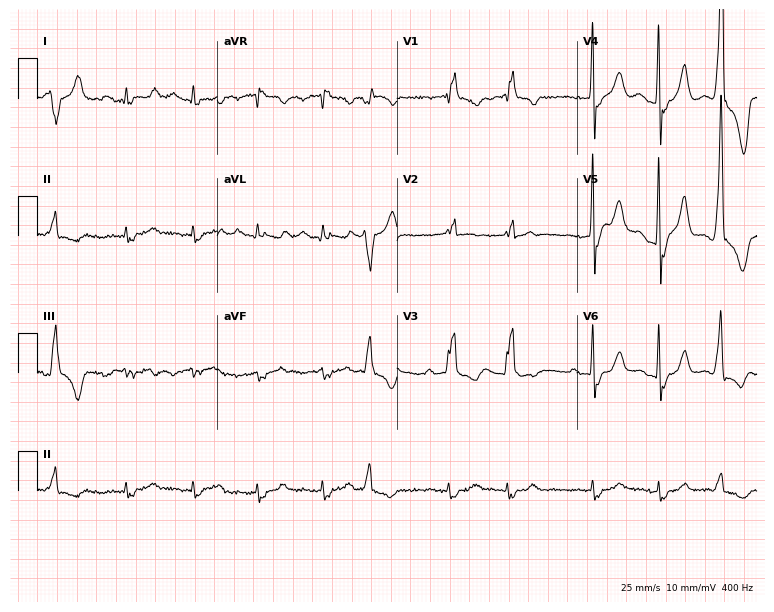
Electrocardiogram, a man, 82 years old. Interpretation includes right bundle branch block (RBBB).